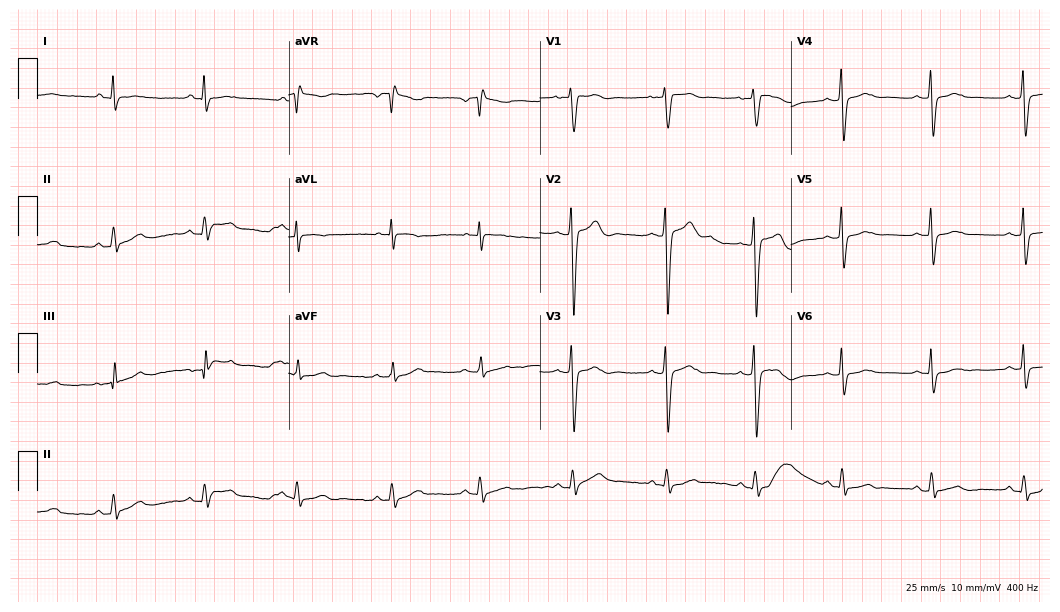
Standard 12-lead ECG recorded from a female, 32 years old. Read as a normal ECG.